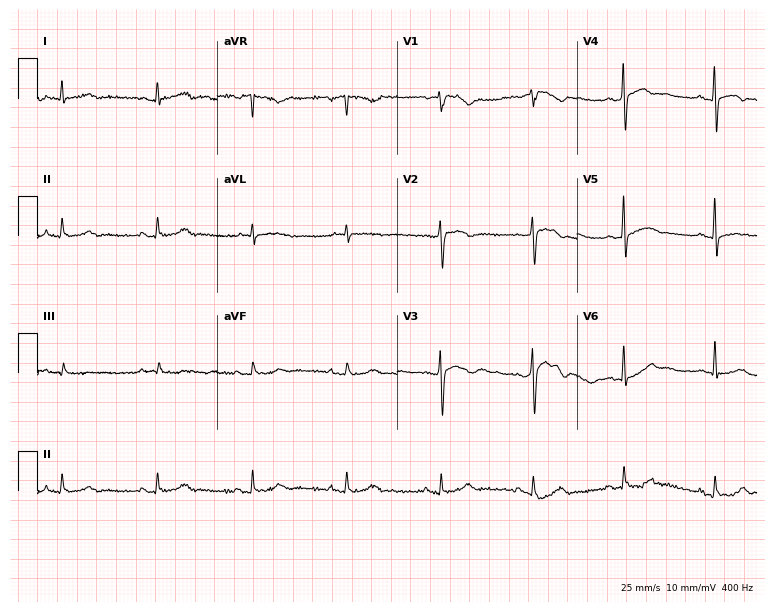
Electrocardiogram, an 82-year-old male. Of the six screened findings (first-degree AV block, right bundle branch block, left bundle branch block, sinus bradycardia, atrial fibrillation, sinus tachycardia), none is recorded.